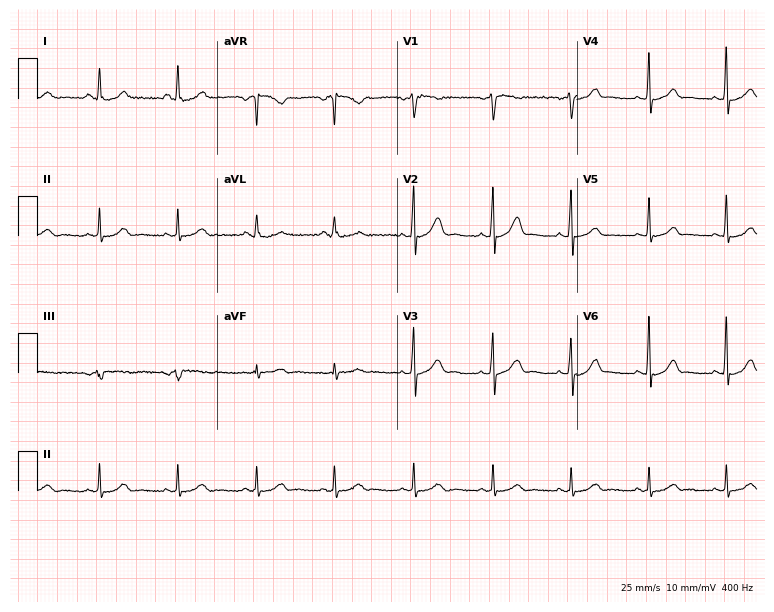
12-lead ECG from a 43-year-old female. Labelled as a normal ECG.